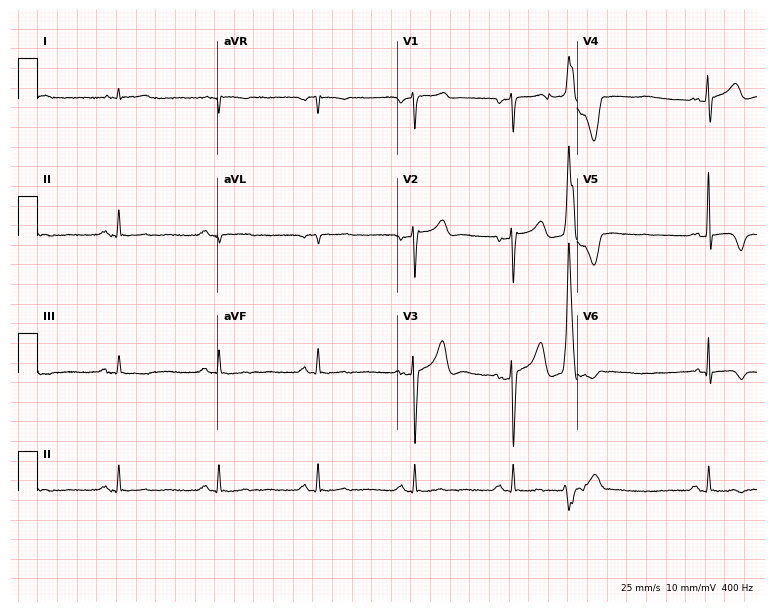
Resting 12-lead electrocardiogram (7.3-second recording at 400 Hz). Patient: a man, 80 years old. None of these six findings is recorded: first-degree AV block, right bundle branch block, left bundle branch block, sinus bradycardia, atrial fibrillation, sinus tachycardia. Other findings, if any, are not listed.